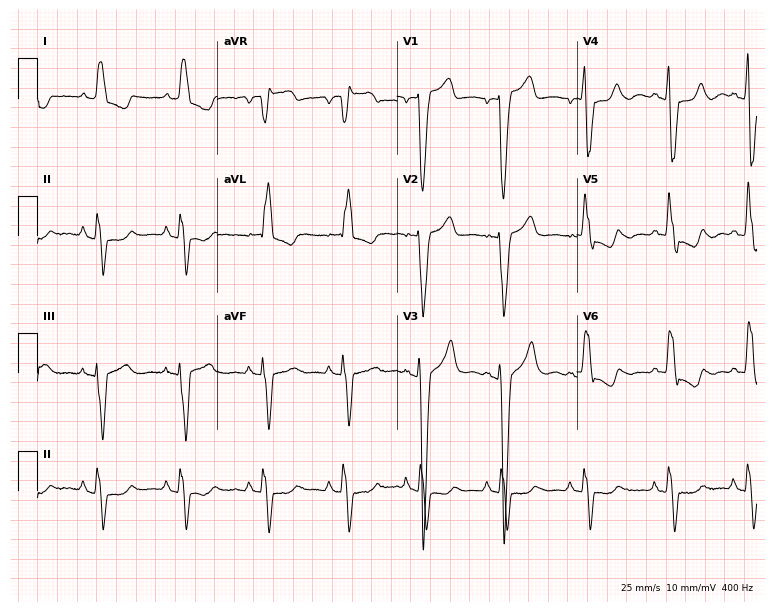
12-lead ECG from a 67-year-old female patient (7.3-second recording at 400 Hz). Shows left bundle branch block.